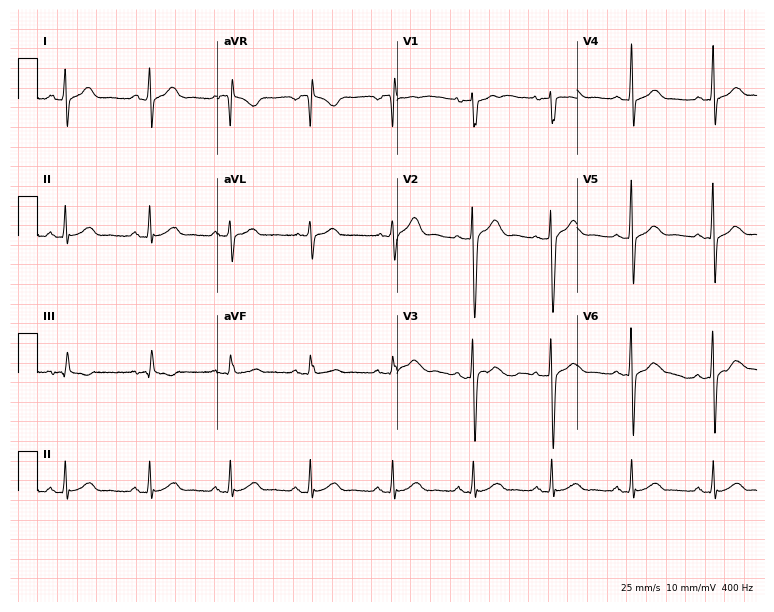
Standard 12-lead ECG recorded from a 31-year-old male (7.3-second recording at 400 Hz). Read as a normal ECG.